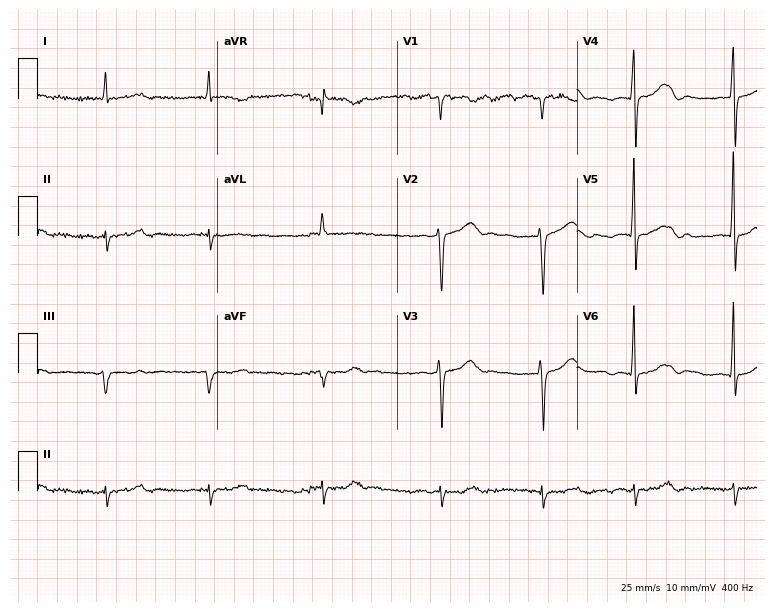
ECG — a 79-year-old man. Findings include atrial fibrillation (AF).